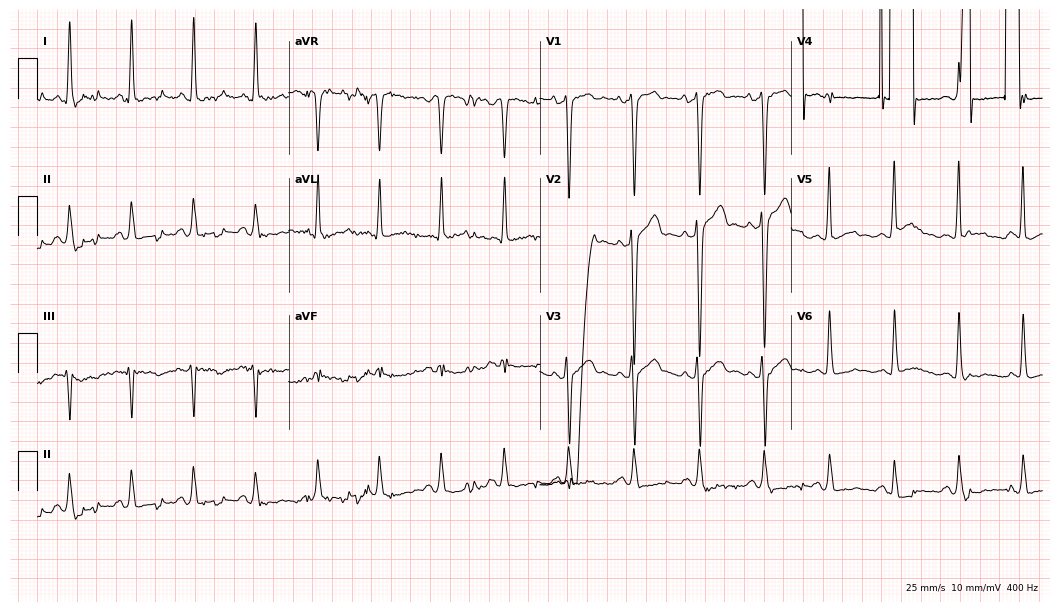
Standard 12-lead ECG recorded from a 41-year-old male. None of these six findings is recorded: first-degree AV block, right bundle branch block (RBBB), left bundle branch block (LBBB), sinus bradycardia, atrial fibrillation (AF), sinus tachycardia. Only these six findings were labelled.